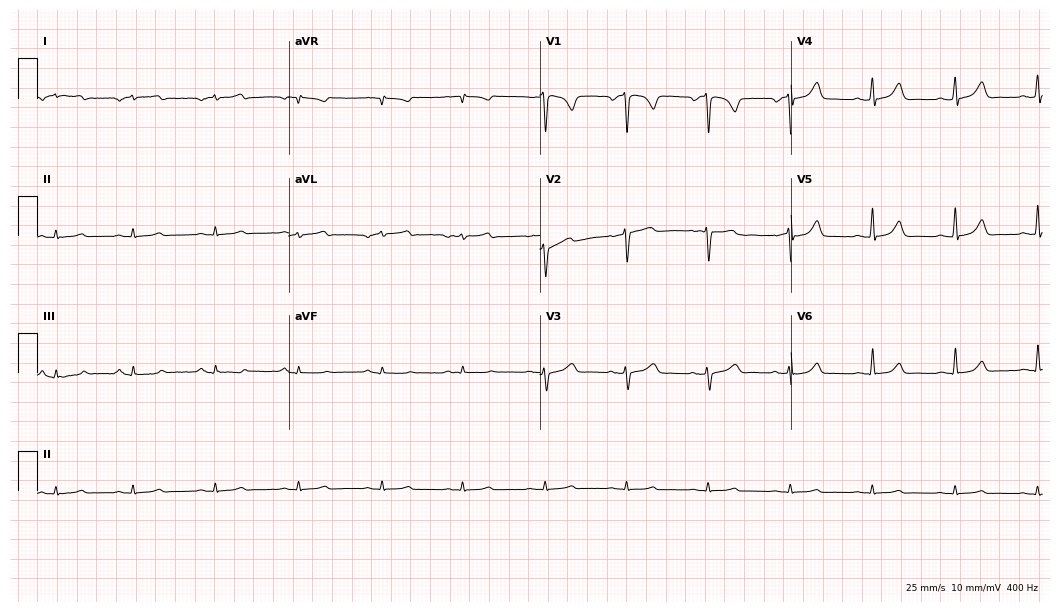
ECG (10.2-second recording at 400 Hz) — a 47-year-old woman. Labelled as a normal ECG.